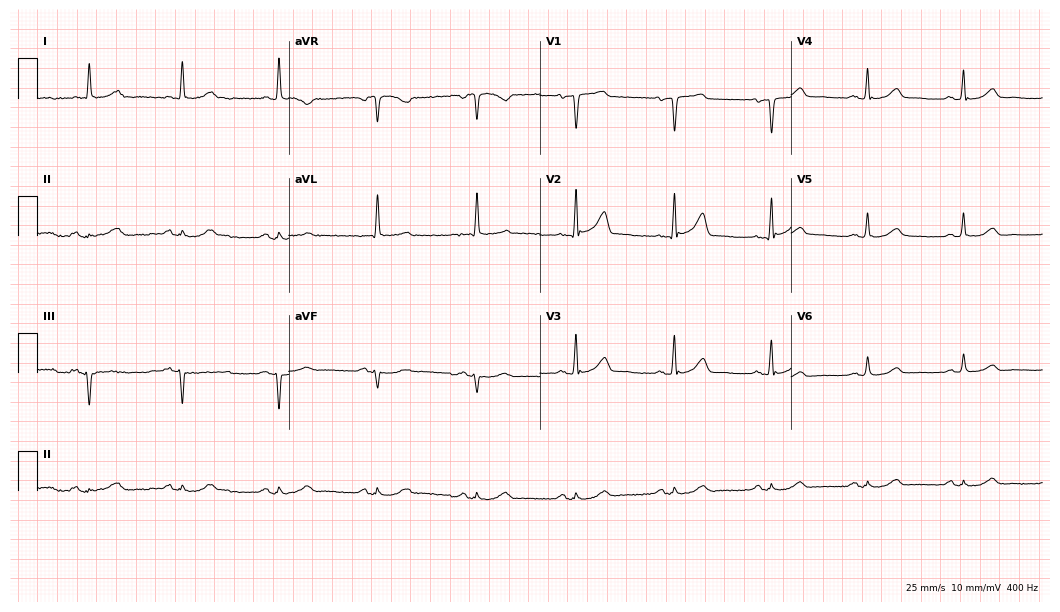
ECG — a male patient, 70 years old. Screened for six findings — first-degree AV block, right bundle branch block (RBBB), left bundle branch block (LBBB), sinus bradycardia, atrial fibrillation (AF), sinus tachycardia — none is recorded.